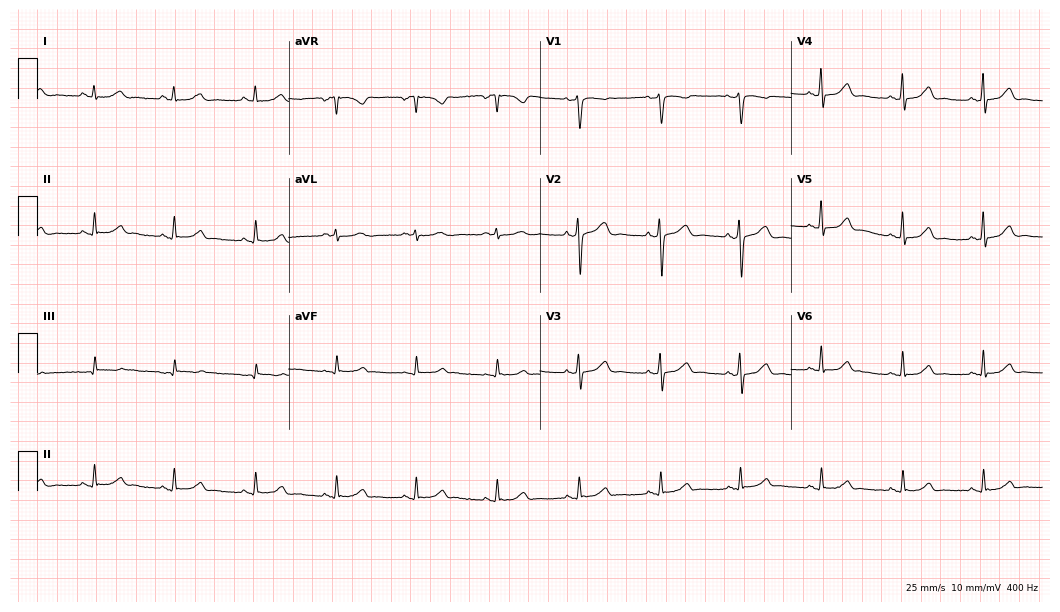
Electrocardiogram (10.2-second recording at 400 Hz), a 48-year-old woman. Overall reading on record: normal ECG.